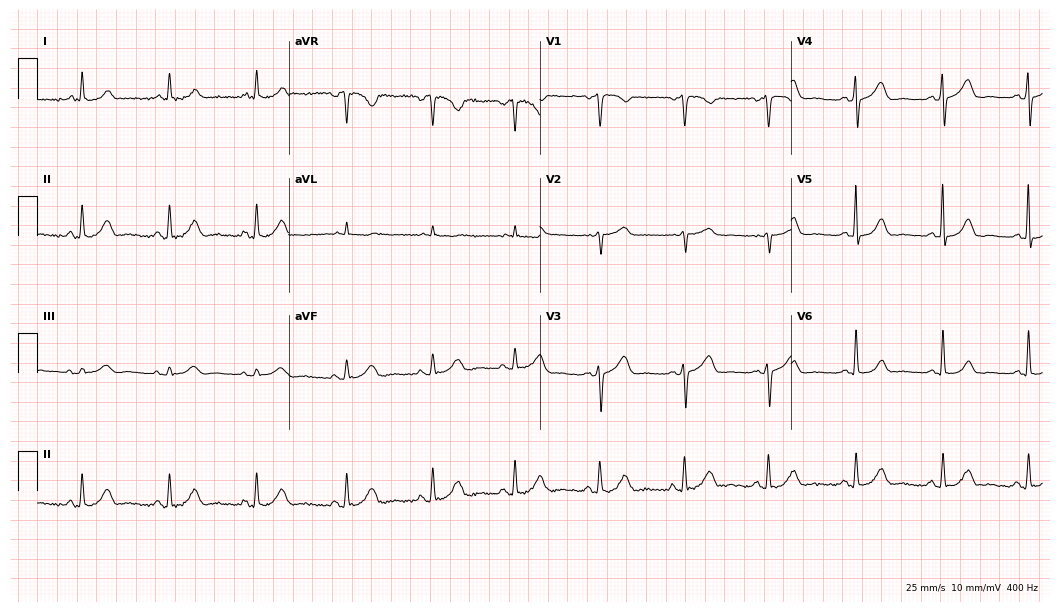
ECG (10.2-second recording at 400 Hz) — a 42-year-old female. Screened for six findings — first-degree AV block, right bundle branch block (RBBB), left bundle branch block (LBBB), sinus bradycardia, atrial fibrillation (AF), sinus tachycardia — none is recorded.